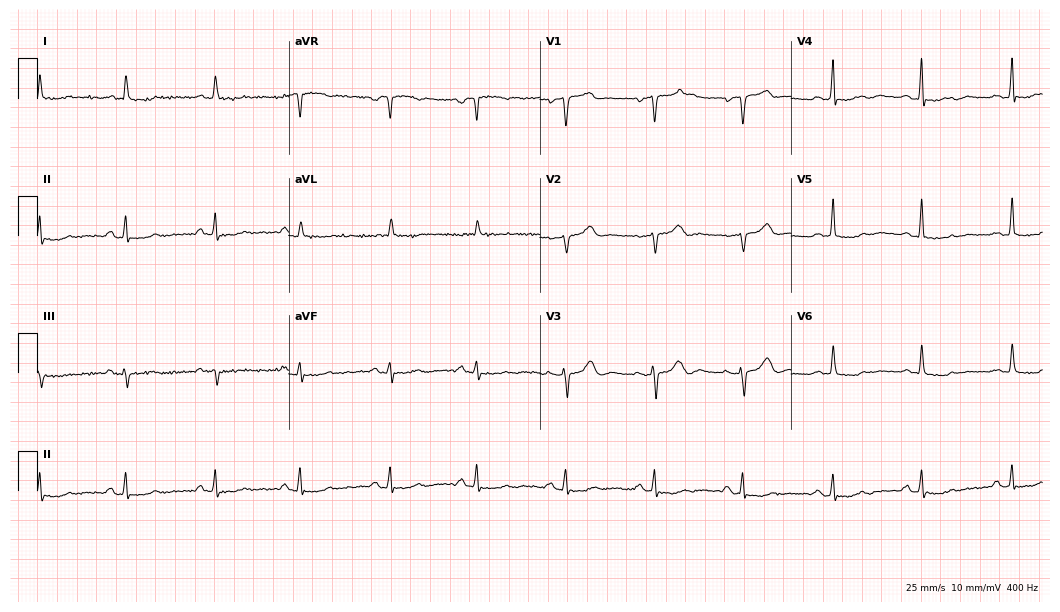
Standard 12-lead ECG recorded from a male patient, 60 years old (10.2-second recording at 400 Hz). None of these six findings is recorded: first-degree AV block, right bundle branch block, left bundle branch block, sinus bradycardia, atrial fibrillation, sinus tachycardia.